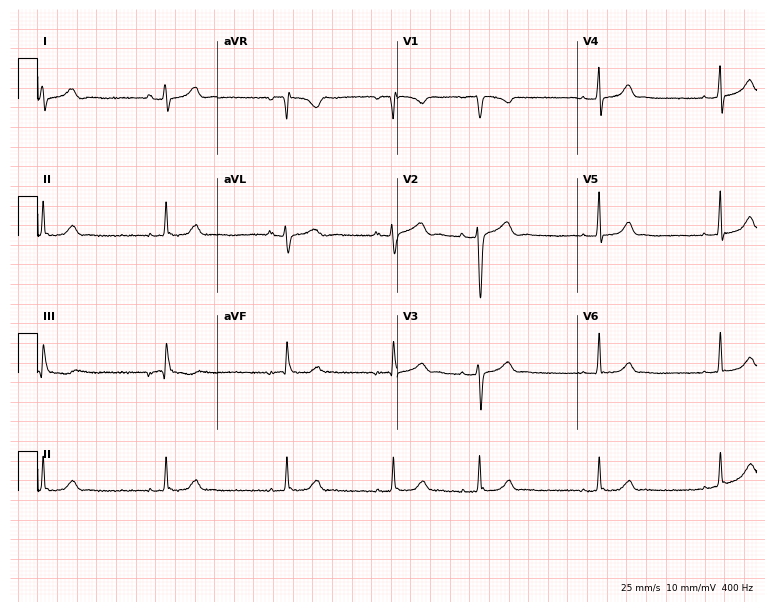
Resting 12-lead electrocardiogram (7.3-second recording at 400 Hz). Patient: a female, 21 years old. None of these six findings is recorded: first-degree AV block, right bundle branch block (RBBB), left bundle branch block (LBBB), sinus bradycardia, atrial fibrillation (AF), sinus tachycardia. Findings outside these six are not listed.